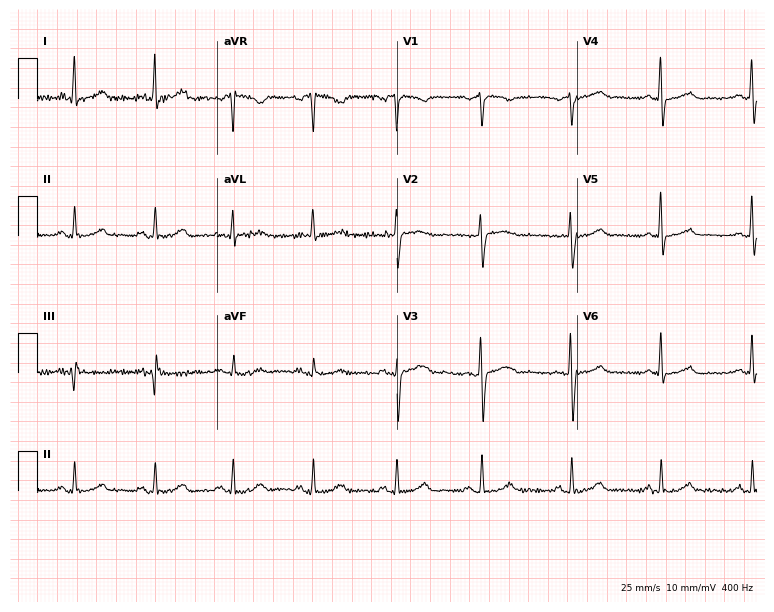
Electrocardiogram (7.3-second recording at 400 Hz), a female, 50 years old. Overall reading on record: normal ECG.